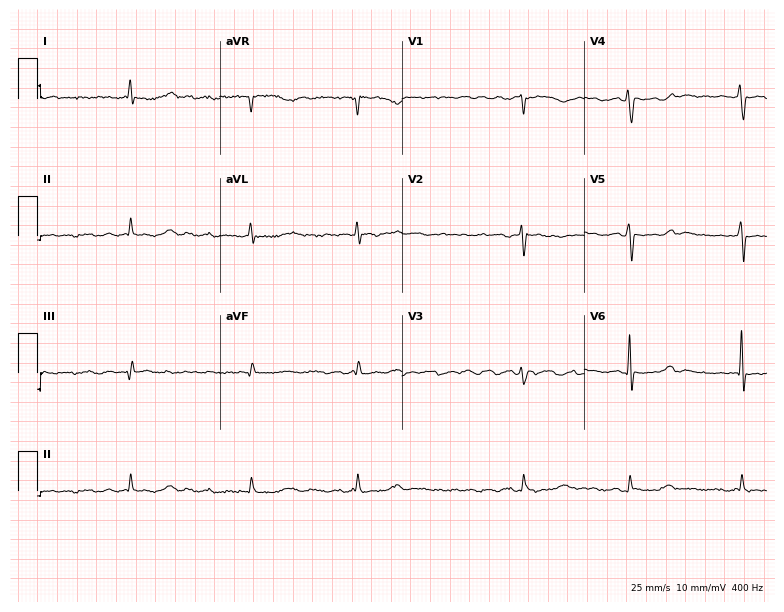
Standard 12-lead ECG recorded from a 58-year-old female (7.4-second recording at 400 Hz). The tracing shows atrial fibrillation (AF).